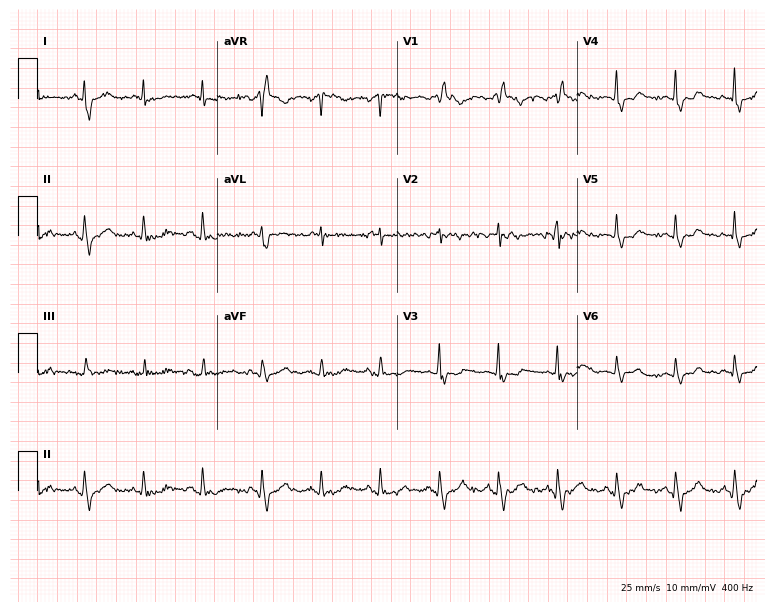
12-lead ECG from a man, 63 years old (7.3-second recording at 400 Hz). No first-degree AV block, right bundle branch block, left bundle branch block, sinus bradycardia, atrial fibrillation or sinus tachycardia recorded for this tracing.